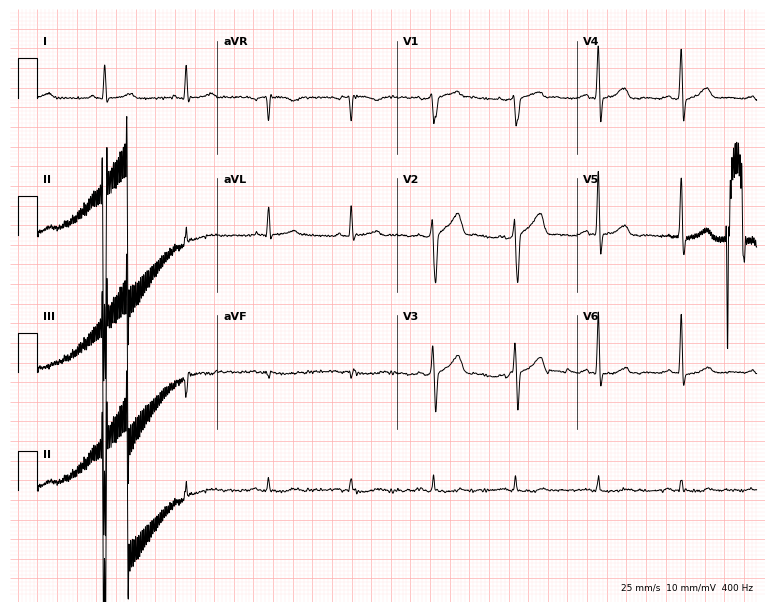
Resting 12-lead electrocardiogram. Patient: a 66-year-old male. None of these six findings is recorded: first-degree AV block, right bundle branch block, left bundle branch block, sinus bradycardia, atrial fibrillation, sinus tachycardia.